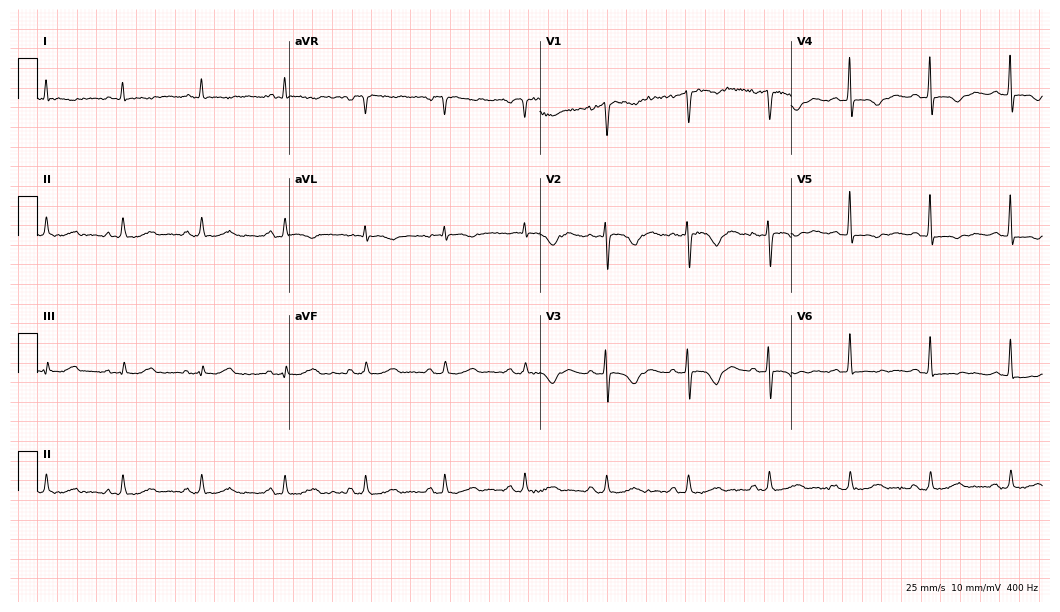
ECG — a female, 62 years old. Screened for six findings — first-degree AV block, right bundle branch block, left bundle branch block, sinus bradycardia, atrial fibrillation, sinus tachycardia — none is recorded.